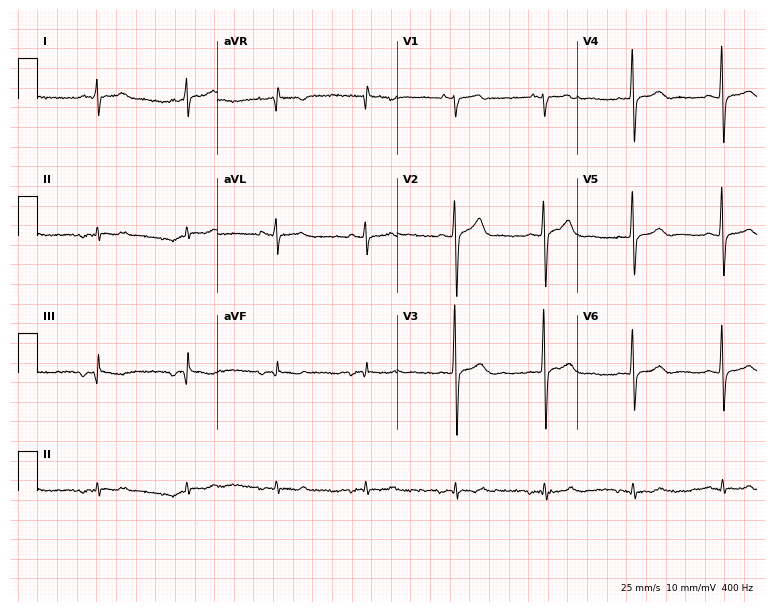
Electrocardiogram (7.3-second recording at 400 Hz), a male patient, 55 years old. Of the six screened findings (first-degree AV block, right bundle branch block, left bundle branch block, sinus bradycardia, atrial fibrillation, sinus tachycardia), none is recorded. Other findings, if any, are not listed.